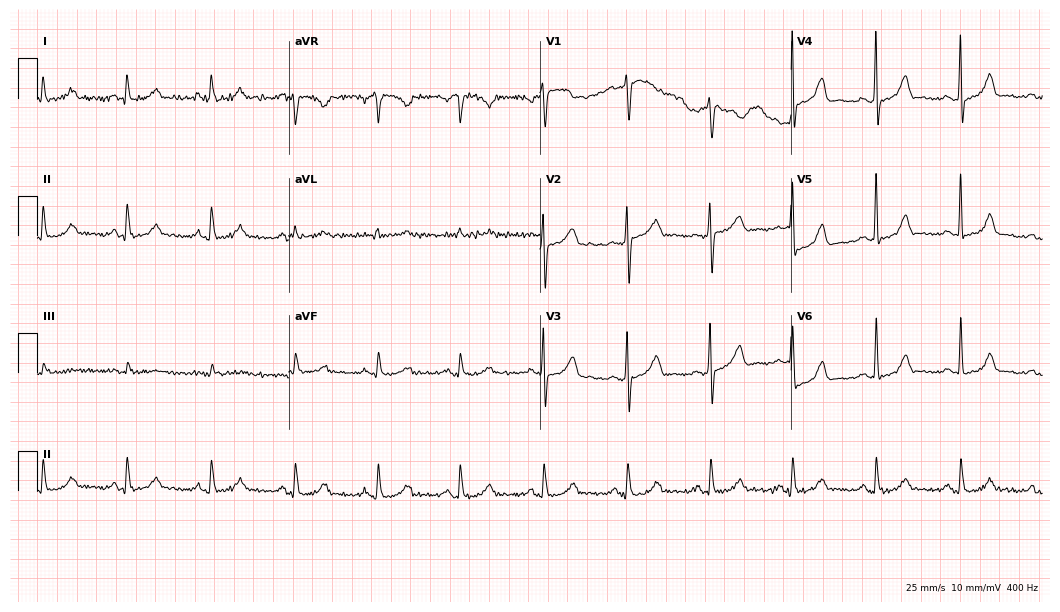
Standard 12-lead ECG recorded from a 62-year-old female patient (10.2-second recording at 400 Hz). None of these six findings is recorded: first-degree AV block, right bundle branch block, left bundle branch block, sinus bradycardia, atrial fibrillation, sinus tachycardia. Only these six findings were labelled.